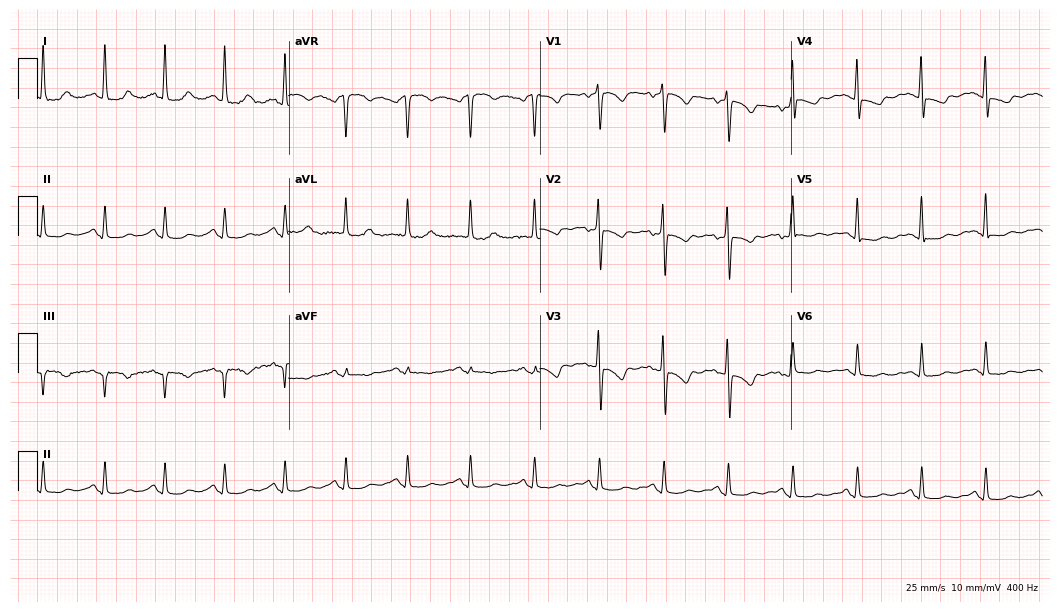
12-lead ECG from a 64-year-old woman. No first-degree AV block, right bundle branch block, left bundle branch block, sinus bradycardia, atrial fibrillation or sinus tachycardia recorded for this tracing. Findings outside these six are not listed.